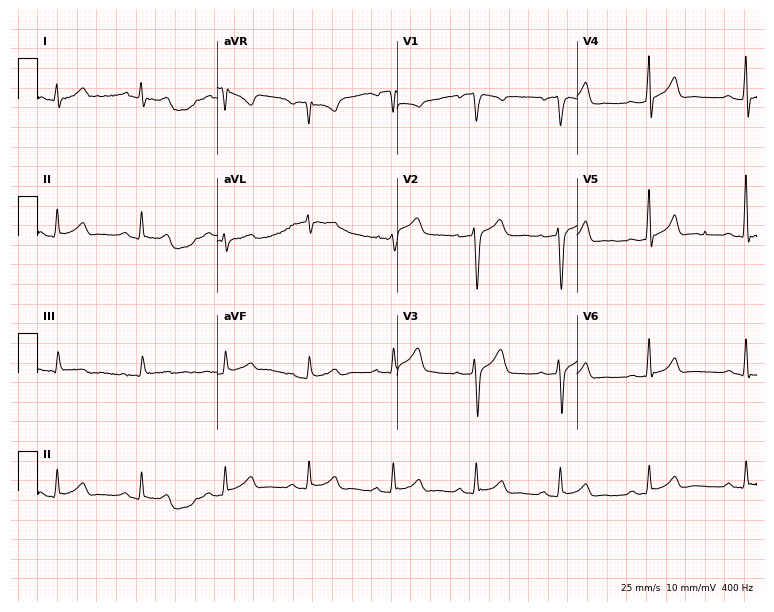
Standard 12-lead ECG recorded from a male, 37 years old (7.3-second recording at 400 Hz). None of these six findings is recorded: first-degree AV block, right bundle branch block, left bundle branch block, sinus bradycardia, atrial fibrillation, sinus tachycardia. Only these six findings were labelled.